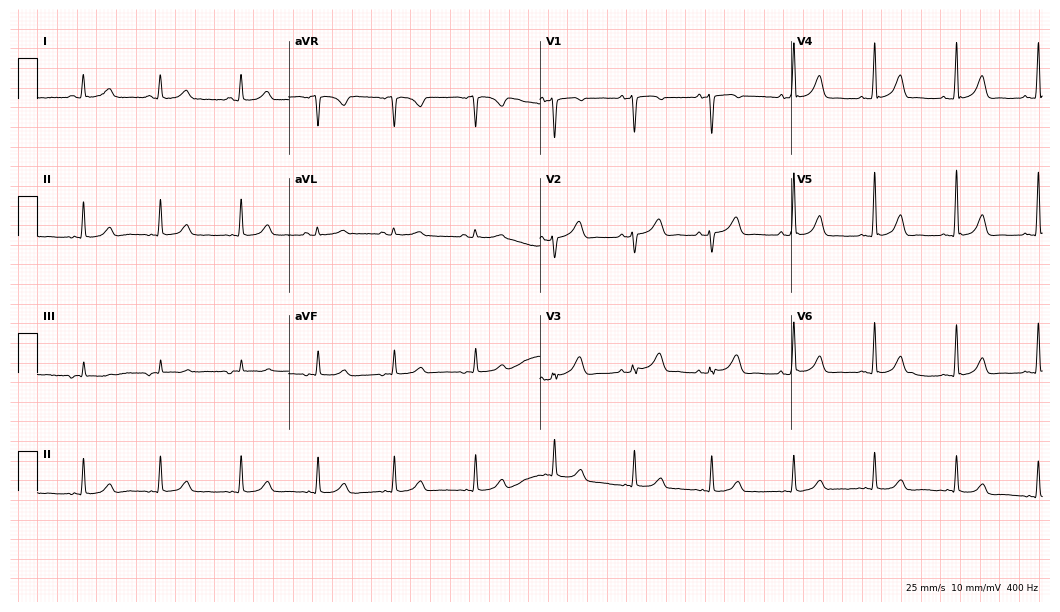
Standard 12-lead ECG recorded from a woman, 66 years old (10.2-second recording at 400 Hz). Read as a normal ECG.